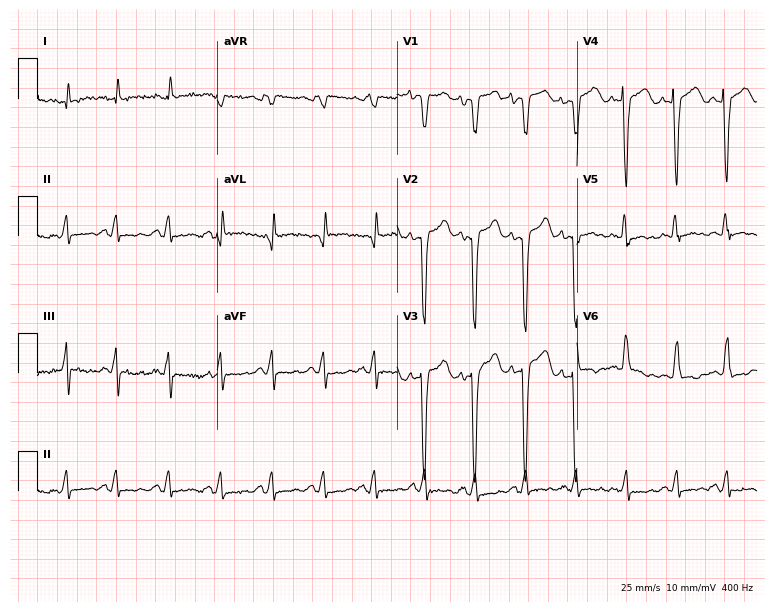
ECG — a female patient, 53 years old. Screened for six findings — first-degree AV block, right bundle branch block (RBBB), left bundle branch block (LBBB), sinus bradycardia, atrial fibrillation (AF), sinus tachycardia — none is recorded. Findings outside these six are not listed.